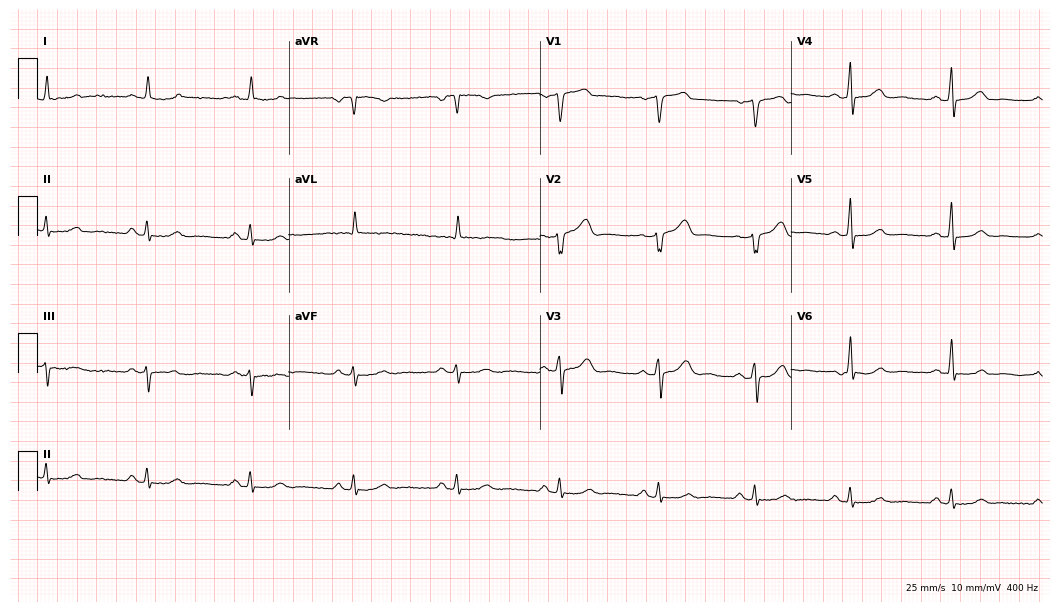
12-lead ECG (10.2-second recording at 400 Hz) from a 66-year-old female. Labelled as a normal ECG.